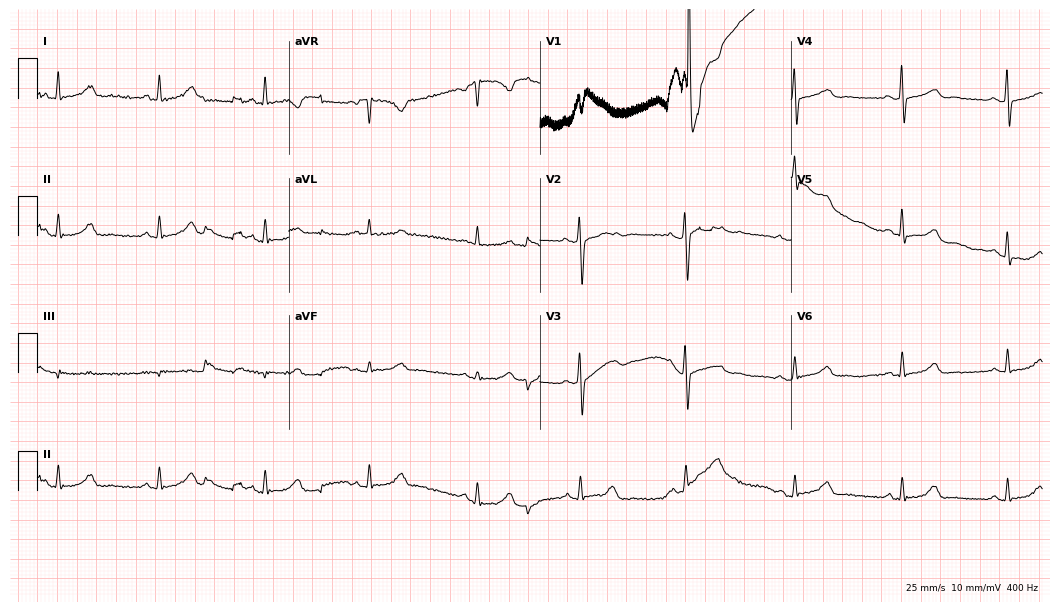
ECG — a female, 52 years old. Screened for six findings — first-degree AV block, right bundle branch block (RBBB), left bundle branch block (LBBB), sinus bradycardia, atrial fibrillation (AF), sinus tachycardia — none is recorded. Only these six findings were labelled.